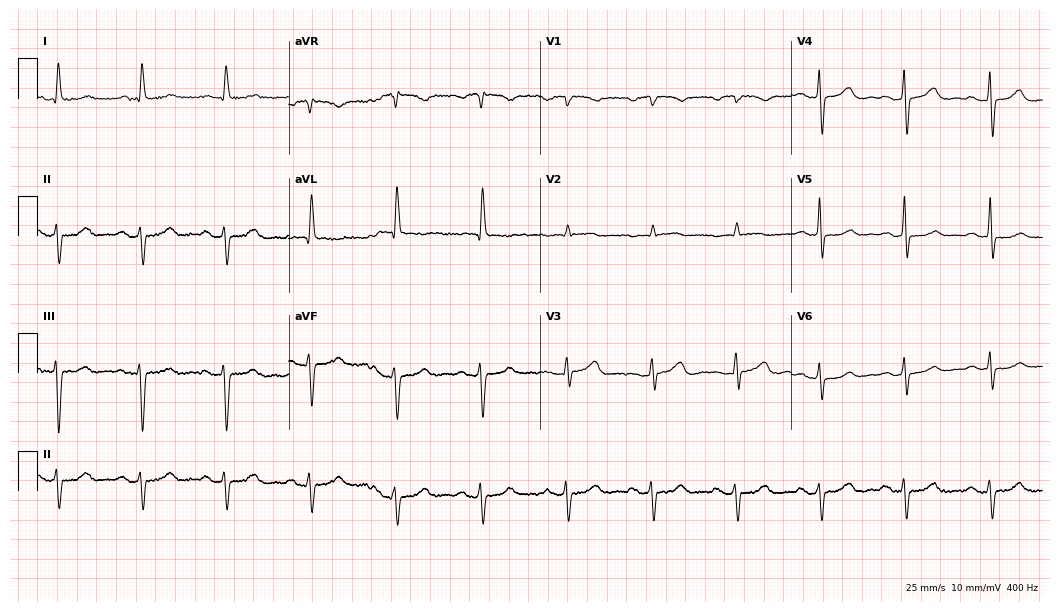
Resting 12-lead electrocardiogram. Patient: a 67-year-old female. None of these six findings is recorded: first-degree AV block, right bundle branch block, left bundle branch block, sinus bradycardia, atrial fibrillation, sinus tachycardia.